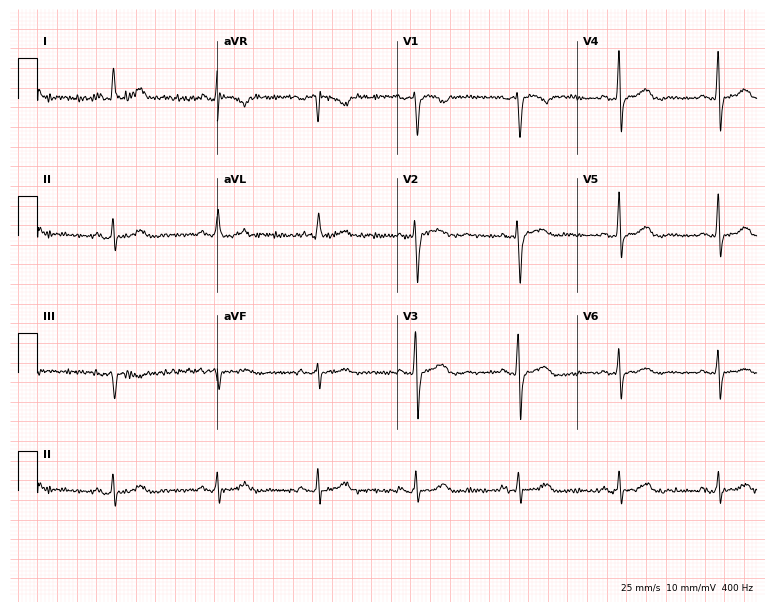
Electrocardiogram, a 71-year-old female patient. Overall reading on record: normal ECG.